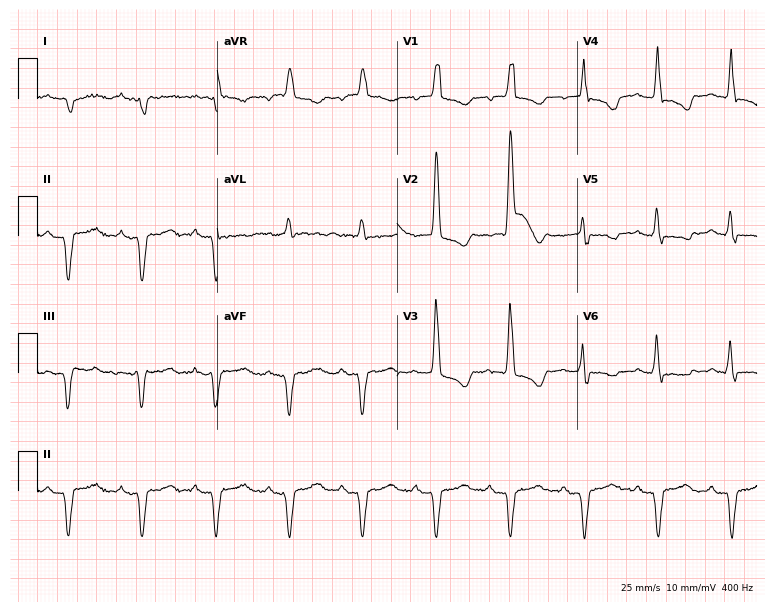
Electrocardiogram, an 84-year-old female. Interpretation includes right bundle branch block.